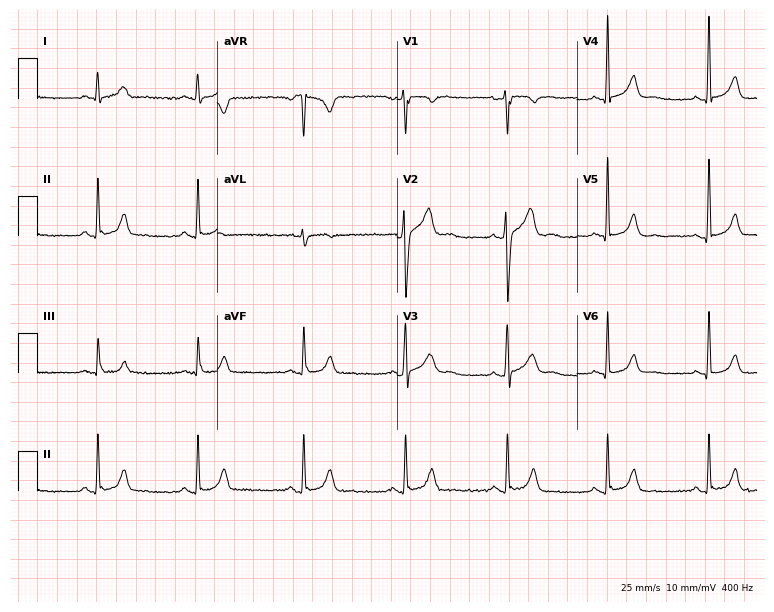
12-lead ECG (7.3-second recording at 400 Hz) from a 33-year-old male patient. Screened for six findings — first-degree AV block, right bundle branch block (RBBB), left bundle branch block (LBBB), sinus bradycardia, atrial fibrillation (AF), sinus tachycardia — none is recorded. Other findings, if any, are not listed.